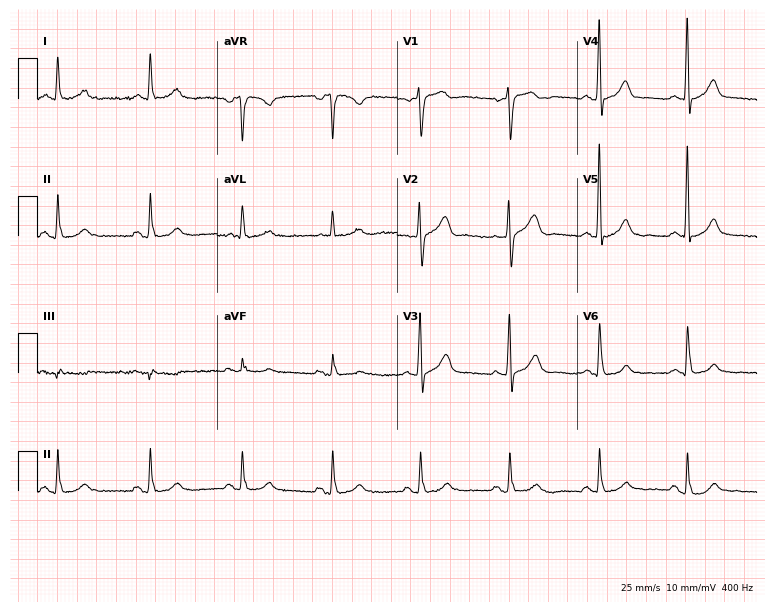
Standard 12-lead ECG recorded from a female, 61 years old. Read as a normal ECG.